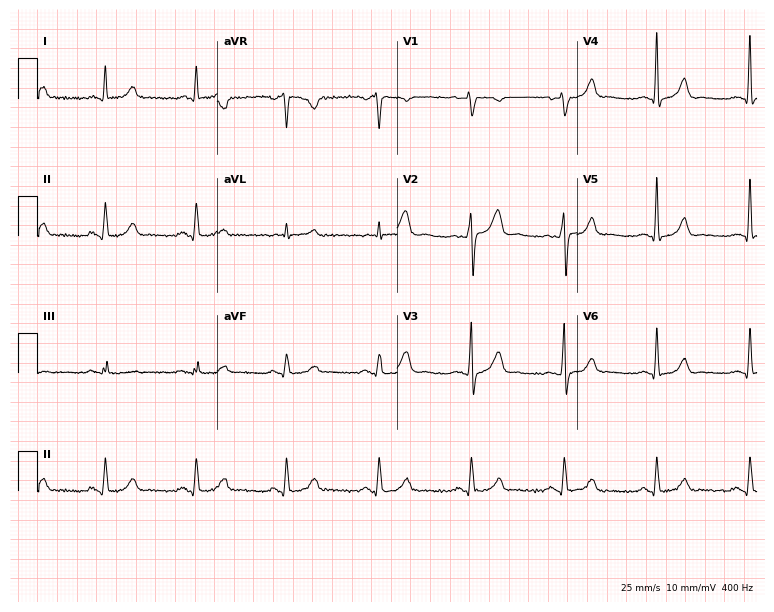
12-lead ECG from a male patient, 67 years old (7.3-second recording at 400 Hz). No first-degree AV block, right bundle branch block (RBBB), left bundle branch block (LBBB), sinus bradycardia, atrial fibrillation (AF) or sinus tachycardia recorded for this tracing.